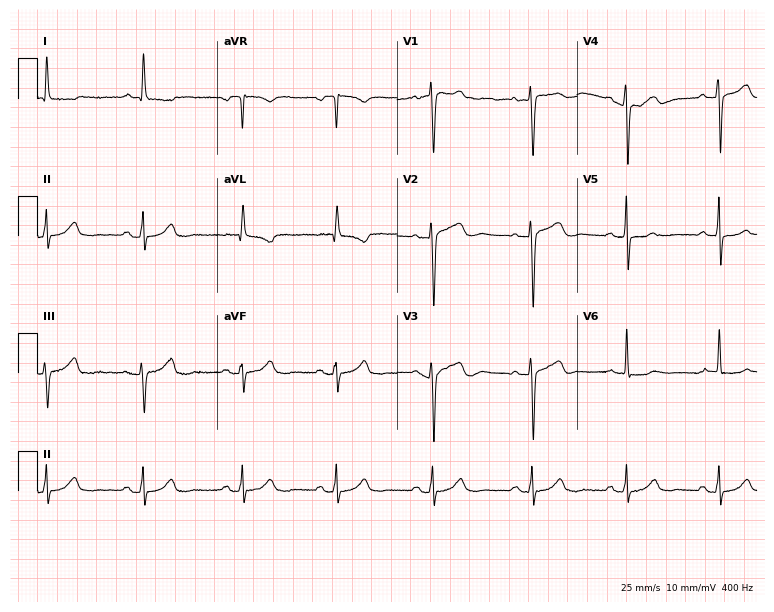
12-lead ECG from a female patient, 61 years old (7.3-second recording at 400 Hz). No first-degree AV block, right bundle branch block (RBBB), left bundle branch block (LBBB), sinus bradycardia, atrial fibrillation (AF) or sinus tachycardia recorded for this tracing. Other findings, if any, are not listed.